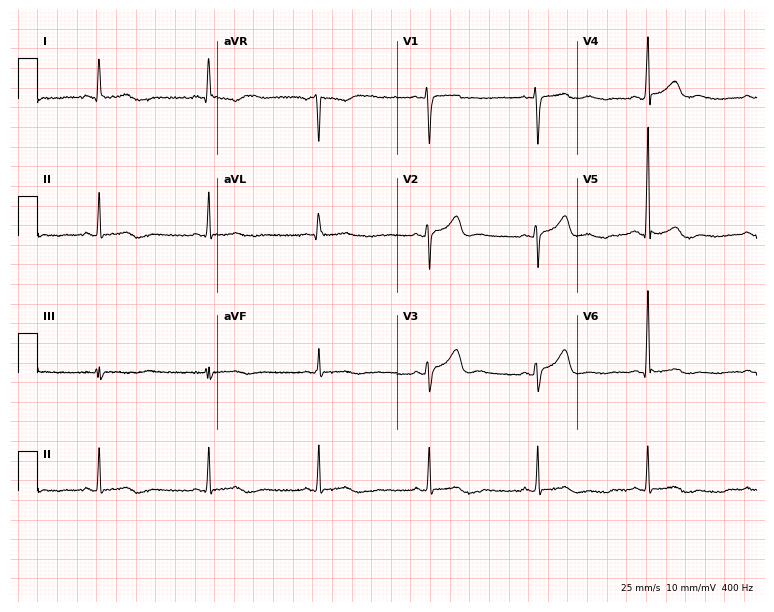
12-lead ECG from a 40-year-old man. No first-degree AV block, right bundle branch block (RBBB), left bundle branch block (LBBB), sinus bradycardia, atrial fibrillation (AF) or sinus tachycardia recorded for this tracing.